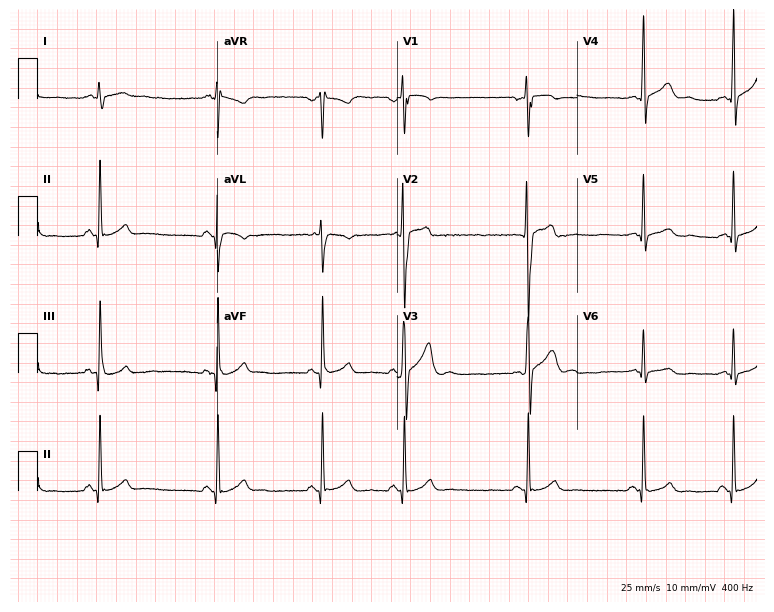
12-lead ECG from an 18-year-old male. Labelled as a normal ECG.